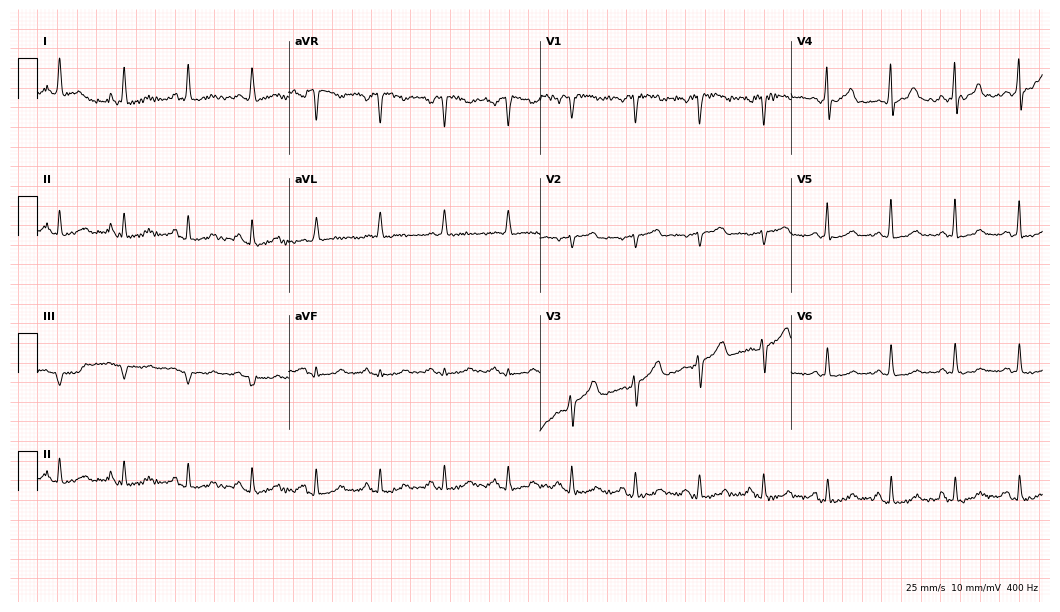
Resting 12-lead electrocardiogram. Patient: a woman, 53 years old. None of these six findings is recorded: first-degree AV block, right bundle branch block, left bundle branch block, sinus bradycardia, atrial fibrillation, sinus tachycardia. Only these six findings were labelled.